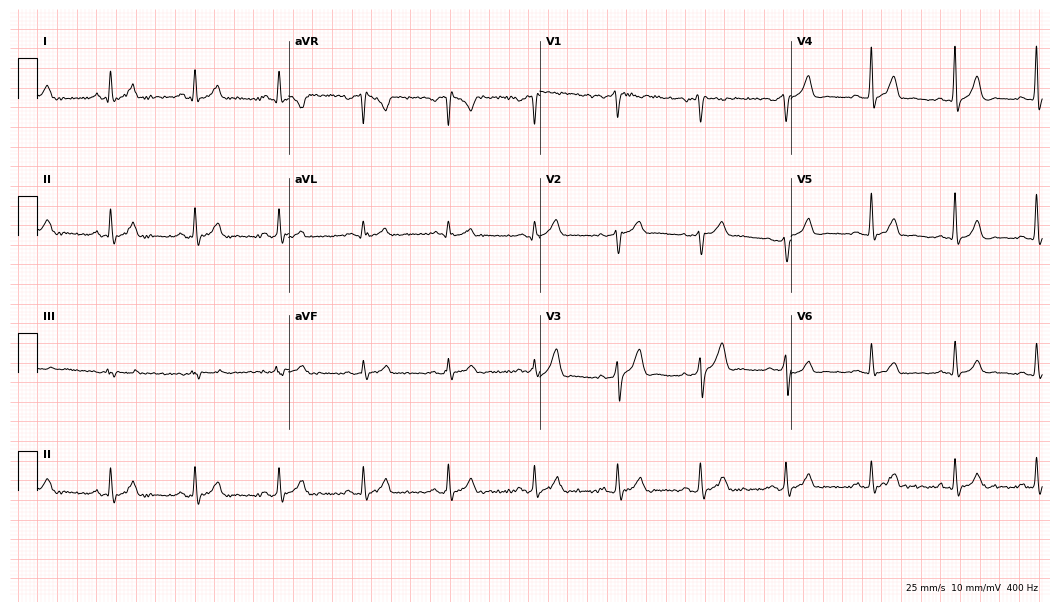
Standard 12-lead ECG recorded from a 39-year-old male (10.2-second recording at 400 Hz). Read as a normal ECG.